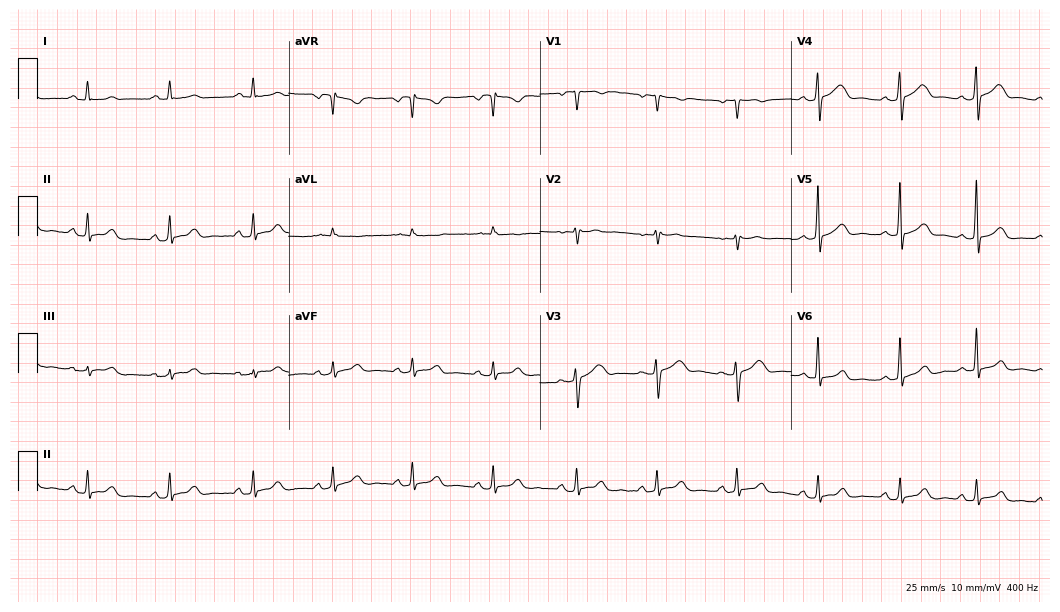
Standard 12-lead ECG recorded from a 29-year-old female patient. Read as a normal ECG.